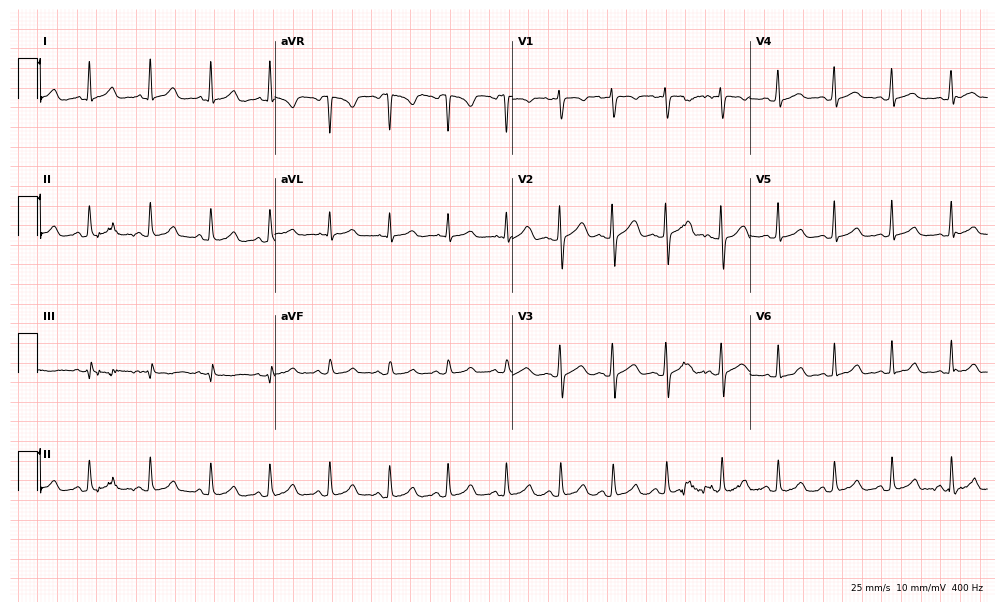
Electrocardiogram (9.7-second recording at 400 Hz), a woman, 20 years old. Interpretation includes sinus tachycardia (a sinus rate of 100 beats per minute or more).